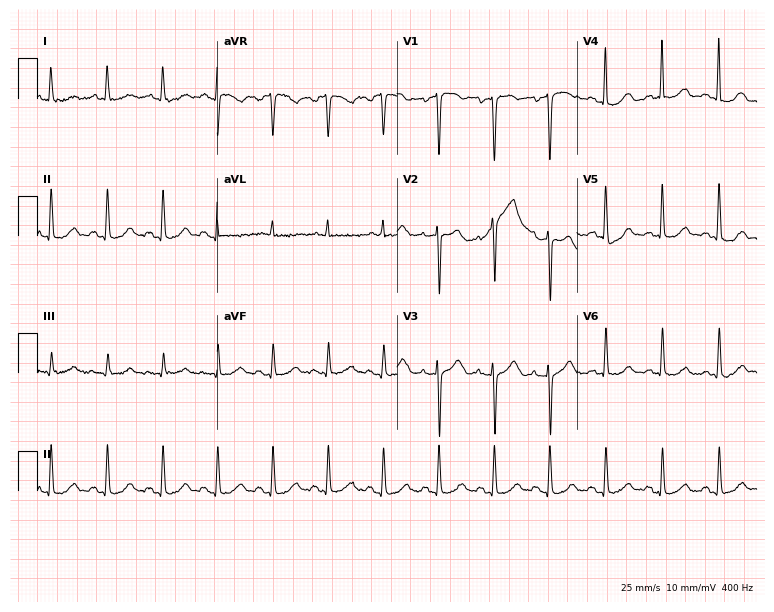
Electrocardiogram, a 69-year-old female. Interpretation includes sinus tachycardia (a sinus rate of 100 beats per minute or more).